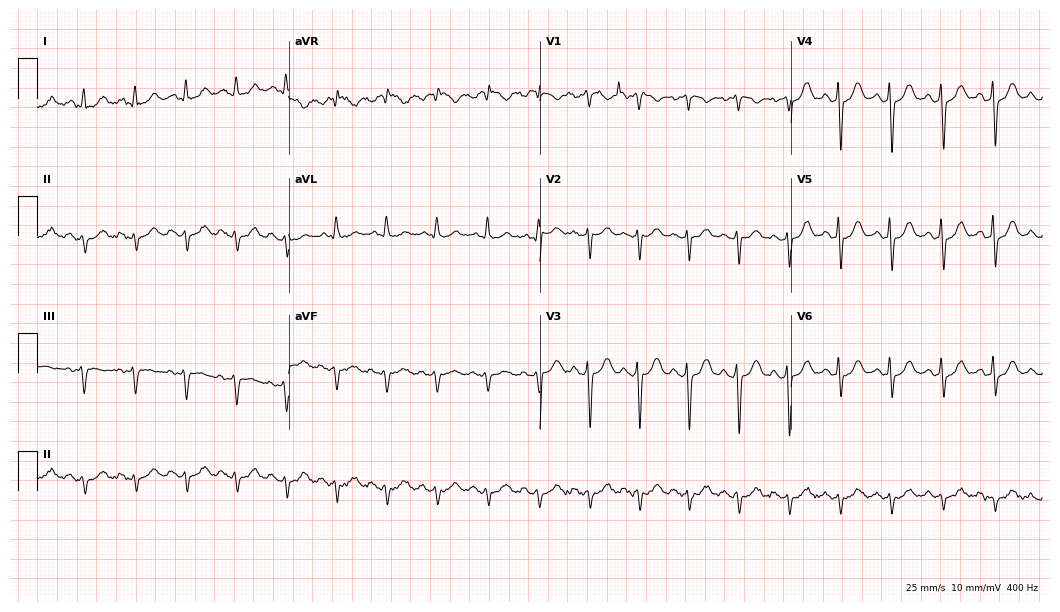
Electrocardiogram (10.2-second recording at 400 Hz), a 55-year-old male. Interpretation includes sinus tachycardia (a sinus rate of 100 beats per minute or more).